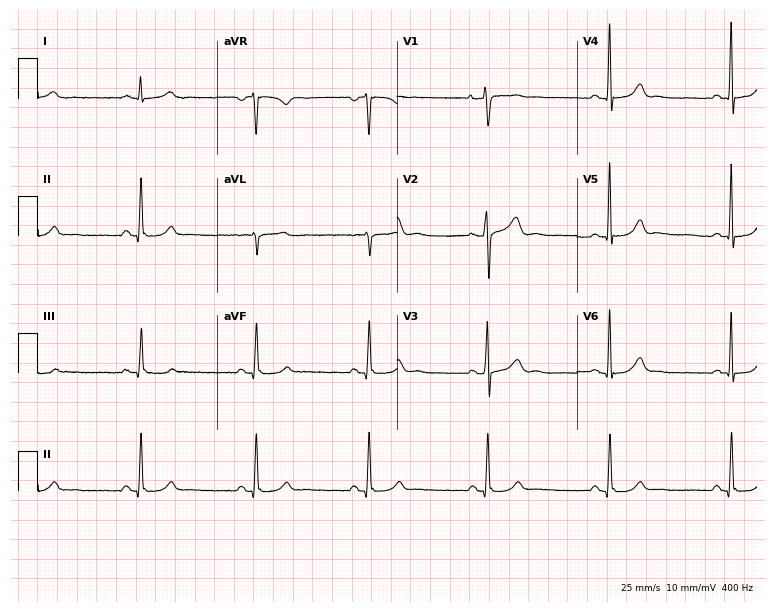
Resting 12-lead electrocardiogram. Patient: a 45-year-old male. The tracing shows sinus bradycardia (a sinus rate of 50 beats per minute or less).